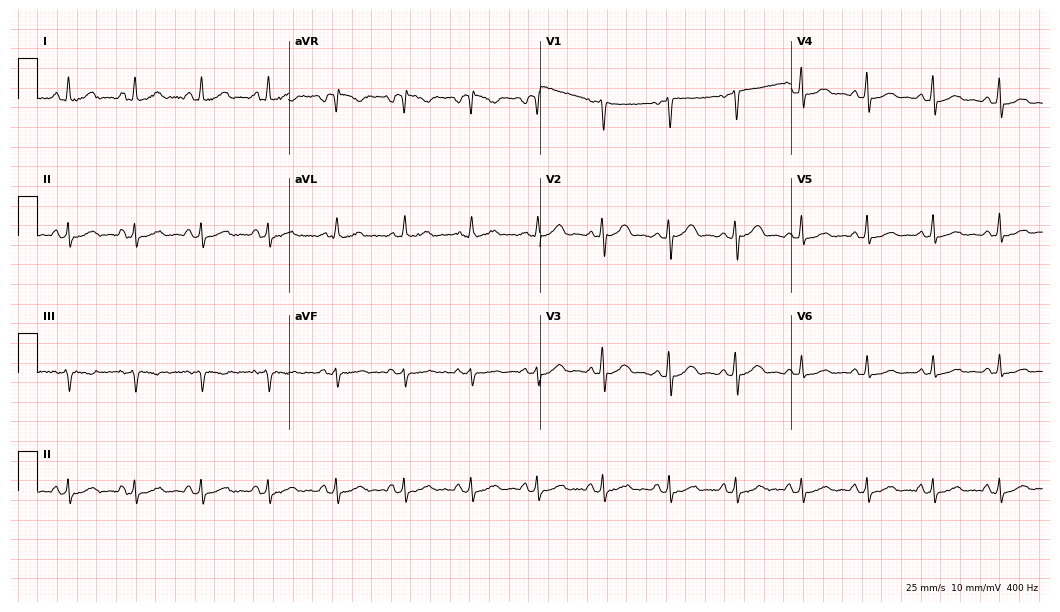
12-lead ECG (10.2-second recording at 400 Hz) from a female patient, 48 years old. Labelled as a normal ECG.